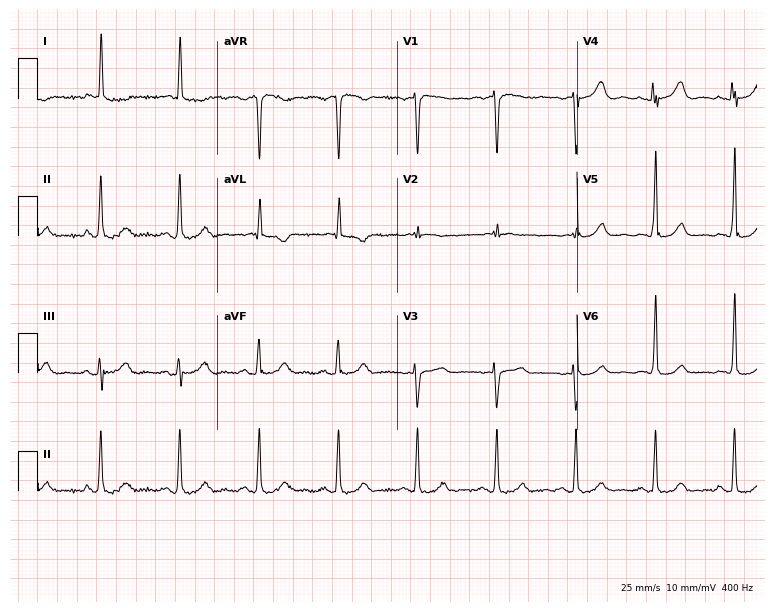
Electrocardiogram, a woman, 81 years old. Of the six screened findings (first-degree AV block, right bundle branch block, left bundle branch block, sinus bradycardia, atrial fibrillation, sinus tachycardia), none is recorded. Findings outside these six are not listed.